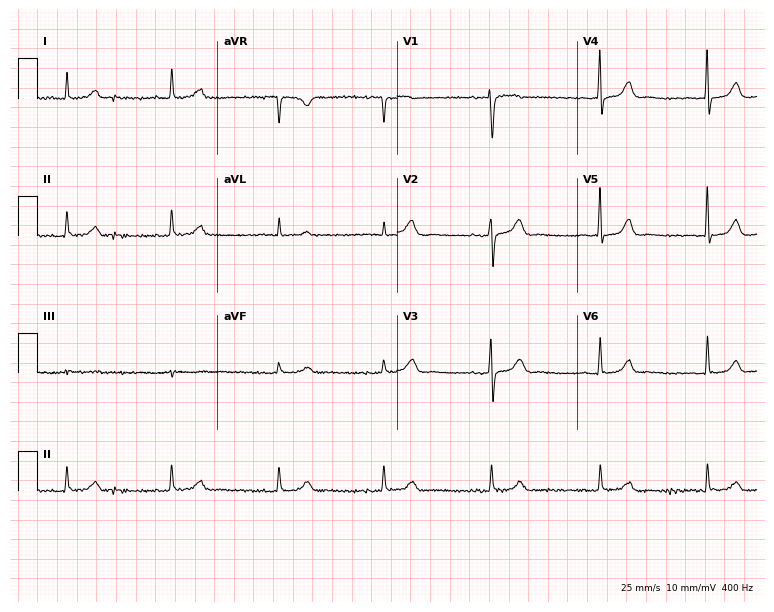
Resting 12-lead electrocardiogram. Patient: a 71-year-old female. Read as a normal ECG.